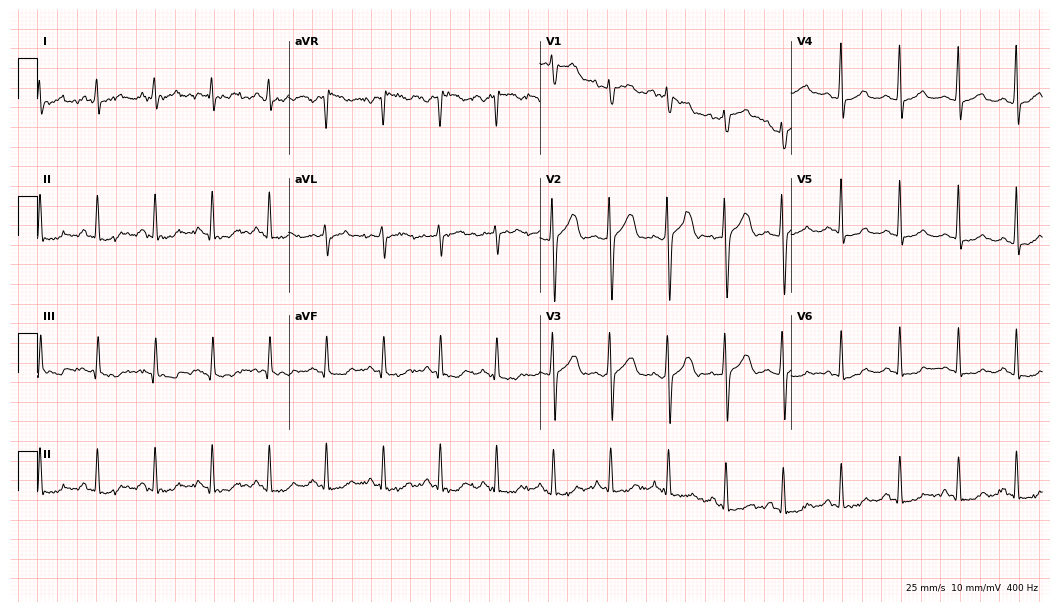
Resting 12-lead electrocardiogram. Patient: a male, 36 years old. The tracing shows sinus tachycardia (a sinus rate of 100 beats per minute or more).